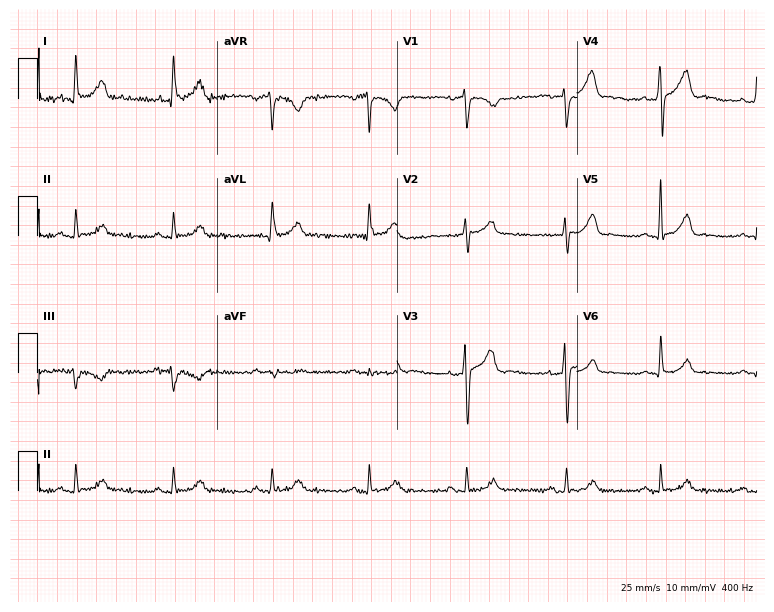
12-lead ECG from a 41-year-old man. Recorded interpretation: within normal limits.